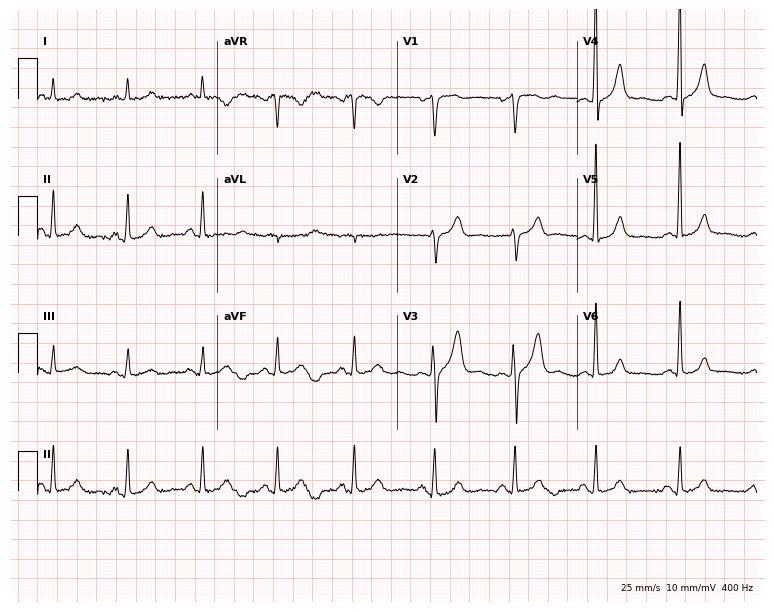
12-lead ECG (7.3-second recording at 400 Hz) from a male, 55 years old. Labelled as a normal ECG.